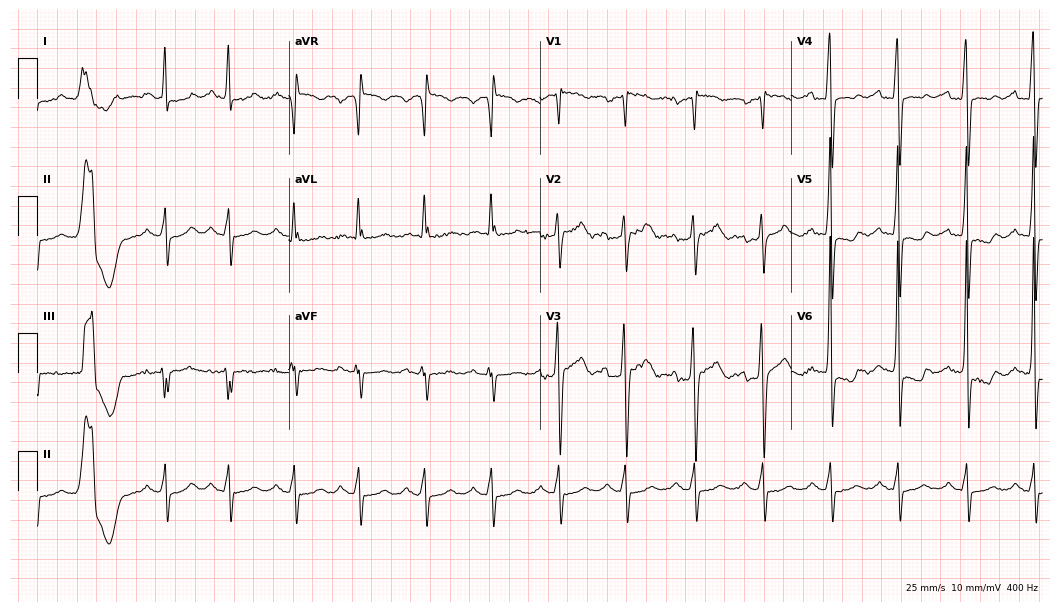
ECG (10.2-second recording at 400 Hz) — a man, 49 years old. Screened for six findings — first-degree AV block, right bundle branch block (RBBB), left bundle branch block (LBBB), sinus bradycardia, atrial fibrillation (AF), sinus tachycardia — none is recorded.